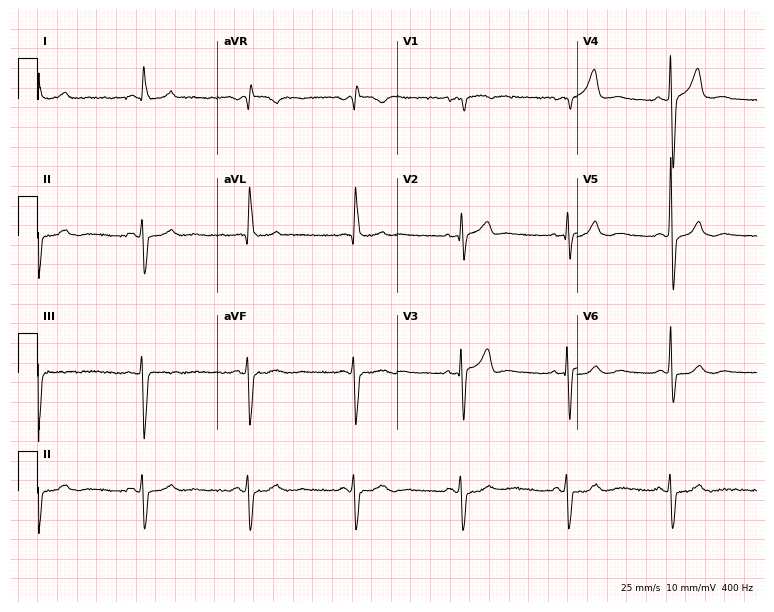
ECG — a 59-year-old man. Screened for six findings — first-degree AV block, right bundle branch block (RBBB), left bundle branch block (LBBB), sinus bradycardia, atrial fibrillation (AF), sinus tachycardia — none is recorded. Other findings, if any, are not listed.